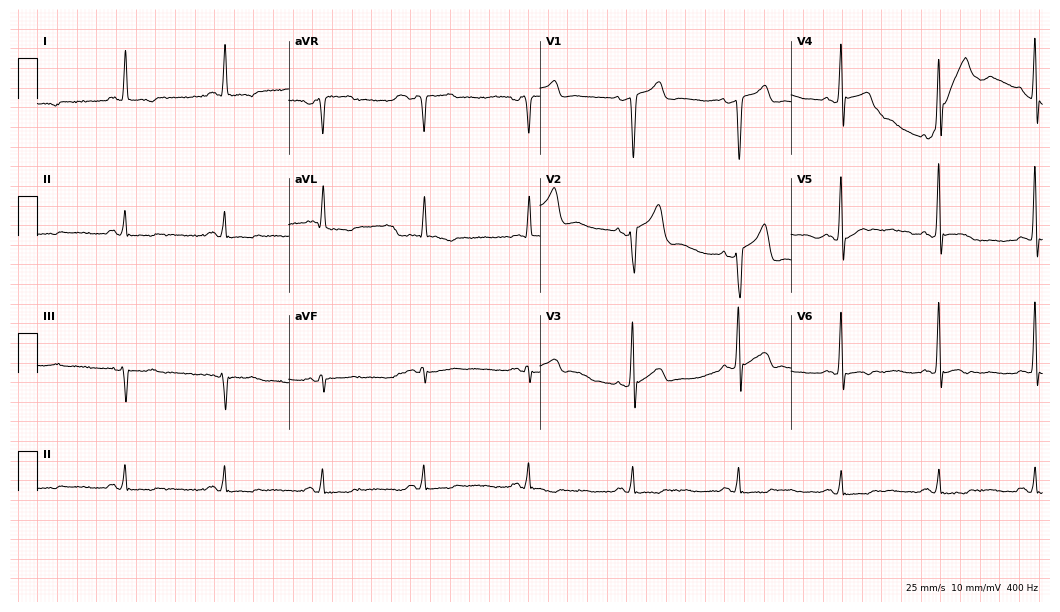
12-lead ECG (10.2-second recording at 400 Hz) from a male patient, 58 years old. Screened for six findings — first-degree AV block, right bundle branch block (RBBB), left bundle branch block (LBBB), sinus bradycardia, atrial fibrillation (AF), sinus tachycardia — none is recorded. Other findings, if any, are not listed.